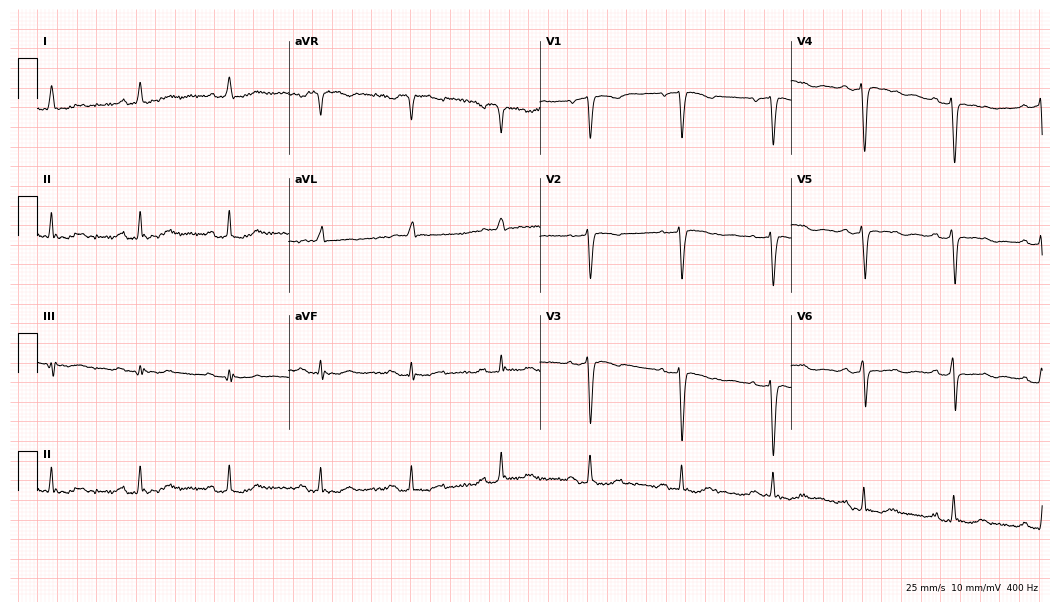
ECG (10.2-second recording at 400 Hz) — a female, 75 years old. Screened for six findings — first-degree AV block, right bundle branch block, left bundle branch block, sinus bradycardia, atrial fibrillation, sinus tachycardia — none is recorded.